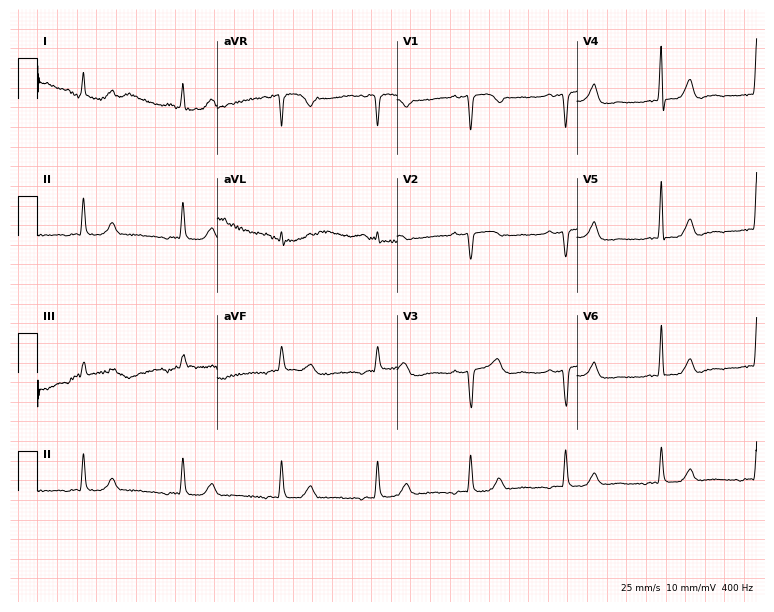
12-lead ECG (7.3-second recording at 400 Hz) from a 53-year-old female. Screened for six findings — first-degree AV block, right bundle branch block, left bundle branch block, sinus bradycardia, atrial fibrillation, sinus tachycardia — none is recorded.